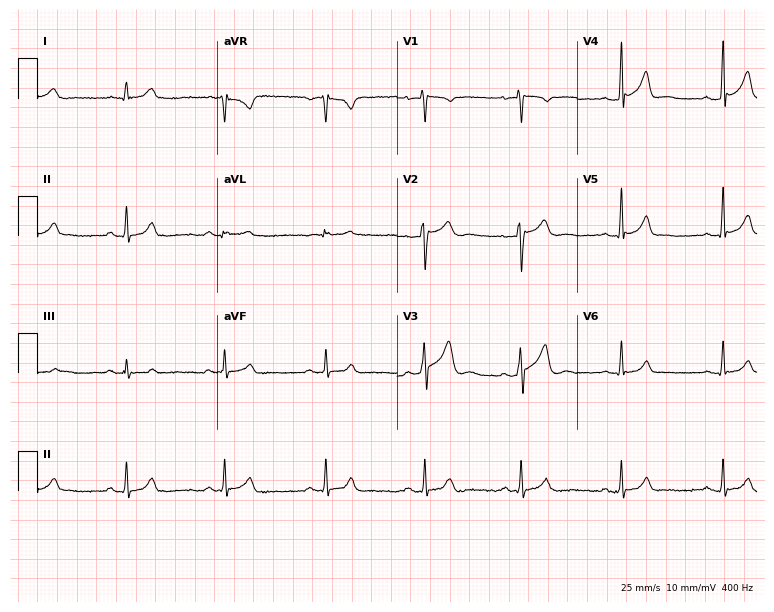
Standard 12-lead ECG recorded from a male, 43 years old (7.3-second recording at 400 Hz). None of these six findings is recorded: first-degree AV block, right bundle branch block, left bundle branch block, sinus bradycardia, atrial fibrillation, sinus tachycardia.